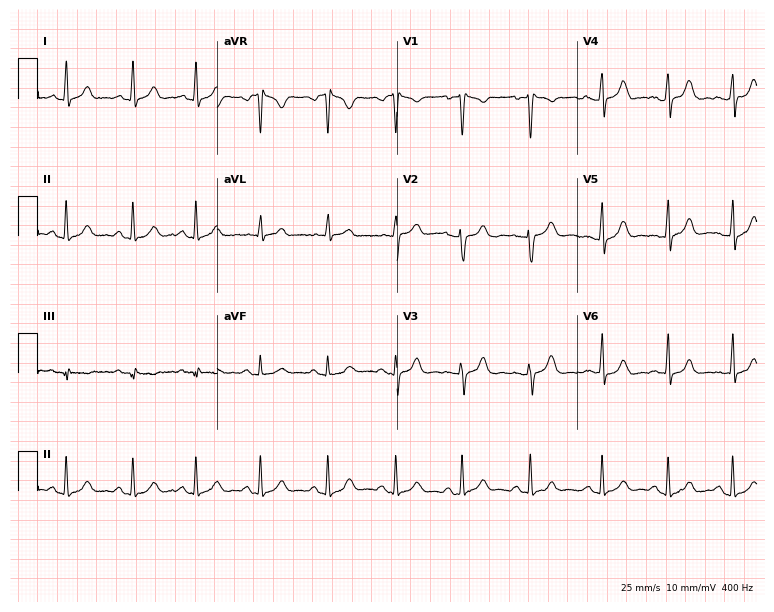
12-lead ECG from a 26-year-old woman (7.3-second recording at 400 Hz). No first-degree AV block, right bundle branch block, left bundle branch block, sinus bradycardia, atrial fibrillation or sinus tachycardia recorded for this tracing.